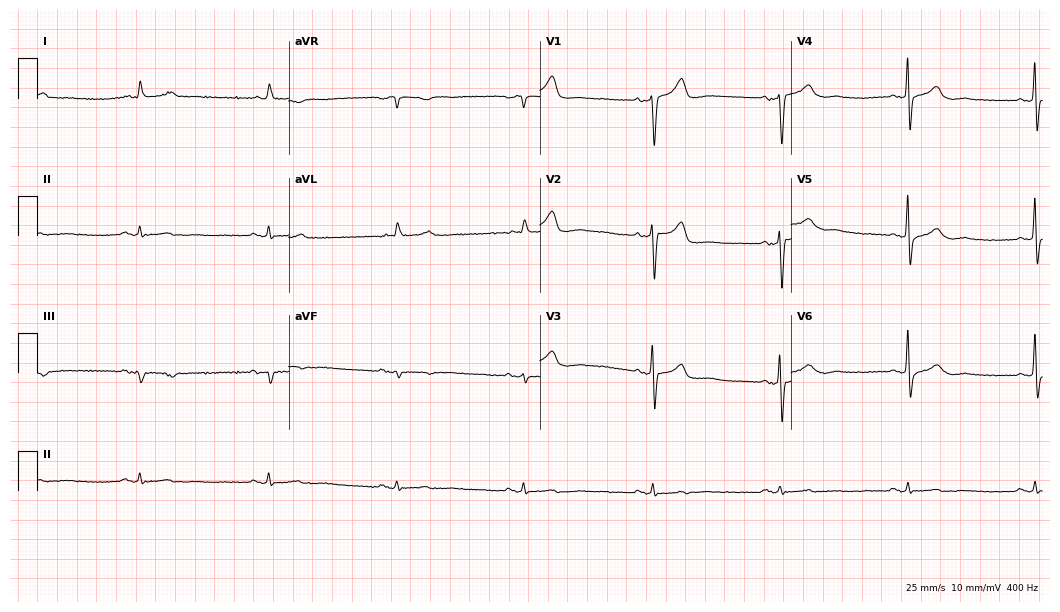
12-lead ECG (10.2-second recording at 400 Hz) from a man, 78 years old. Findings include sinus bradycardia (a sinus rate of 50 beats per minute or less).